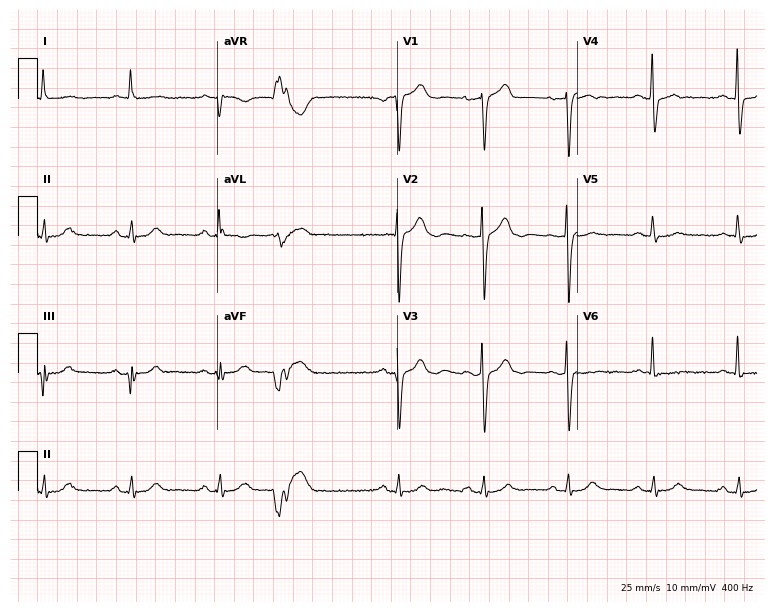
12-lead ECG (7.3-second recording at 400 Hz) from a 60-year-old male. Screened for six findings — first-degree AV block, right bundle branch block, left bundle branch block, sinus bradycardia, atrial fibrillation, sinus tachycardia — none is recorded.